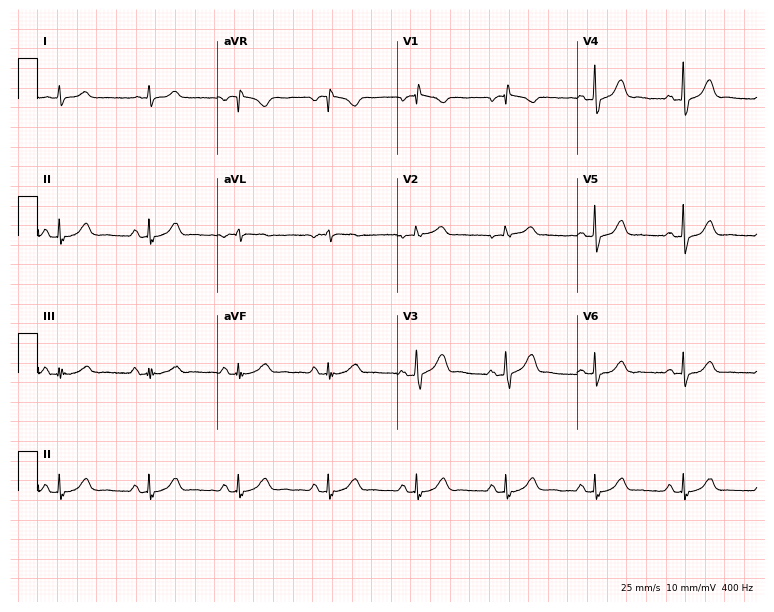
Resting 12-lead electrocardiogram (7.3-second recording at 400 Hz). Patient: a male, 77 years old. None of these six findings is recorded: first-degree AV block, right bundle branch block (RBBB), left bundle branch block (LBBB), sinus bradycardia, atrial fibrillation (AF), sinus tachycardia. Only these six findings were labelled.